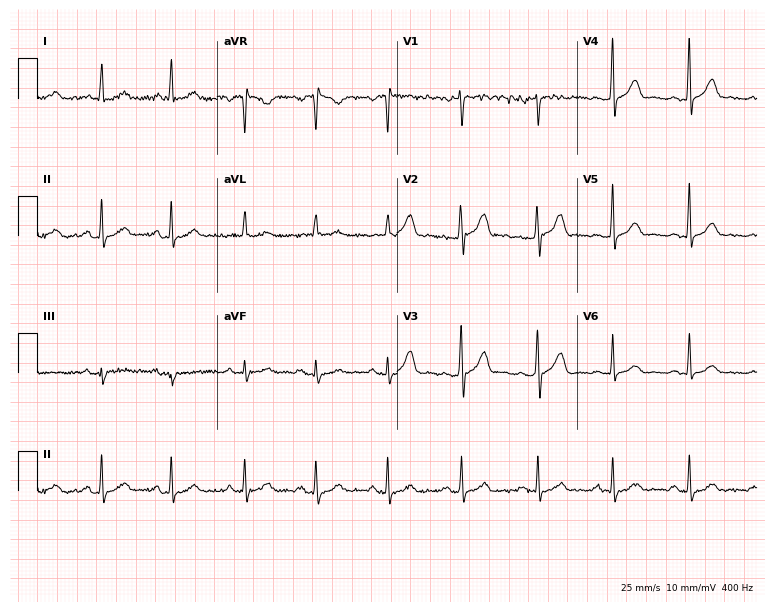
12-lead ECG from a 36-year-old female. Recorded interpretation: within normal limits.